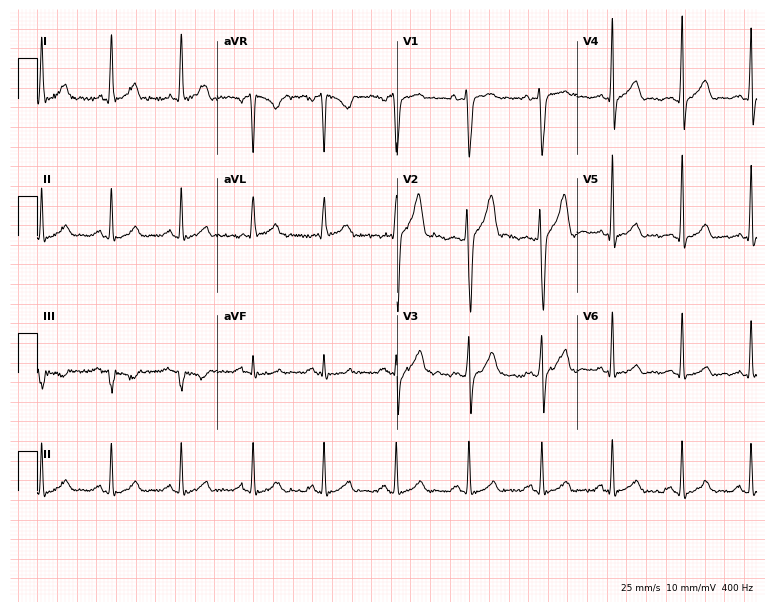
12-lead ECG from a male, 32 years old (7.3-second recording at 400 Hz). No first-degree AV block, right bundle branch block (RBBB), left bundle branch block (LBBB), sinus bradycardia, atrial fibrillation (AF) or sinus tachycardia recorded for this tracing. Only these six findings were labelled.